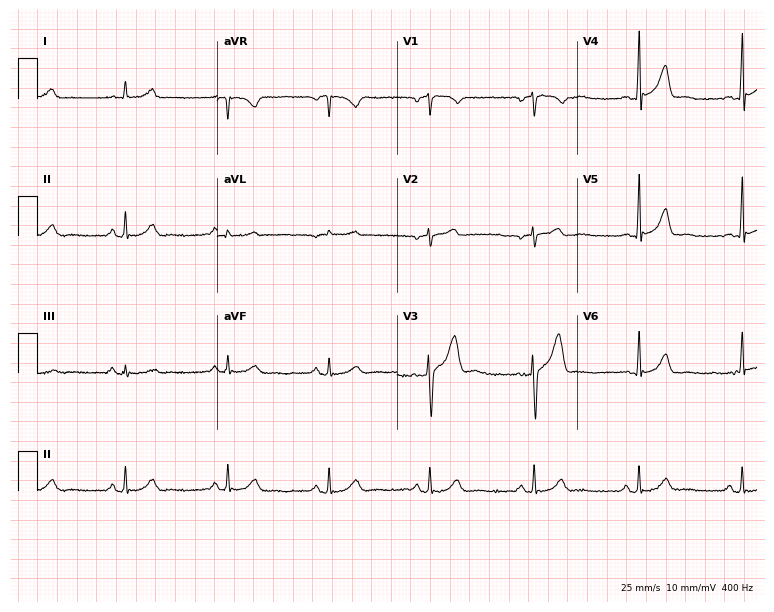
Electrocardiogram (7.3-second recording at 400 Hz), a male patient, 35 years old. Overall reading on record: normal ECG.